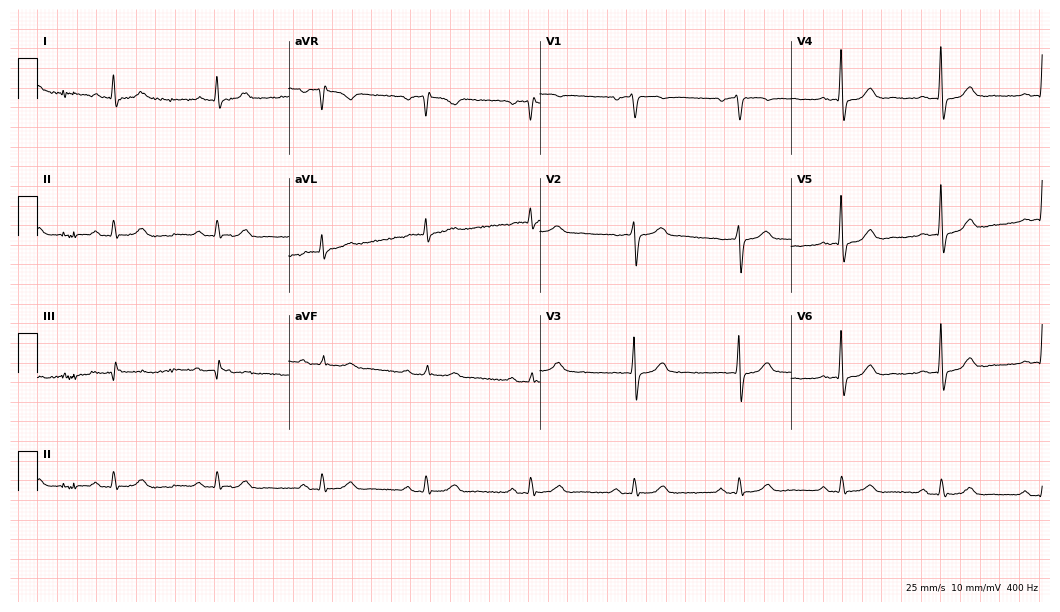
Standard 12-lead ECG recorded from a 68-year-old male (10.2-second recording at 400 Hz). None of these six findings is recorded: first-degree AV block, right bundle branch block (RBBB), left bundle branch block (LBBB), sinus bradycardia, atrial fibrillation (AF), sinus tachycardia. Other findings, if any, are not listed.